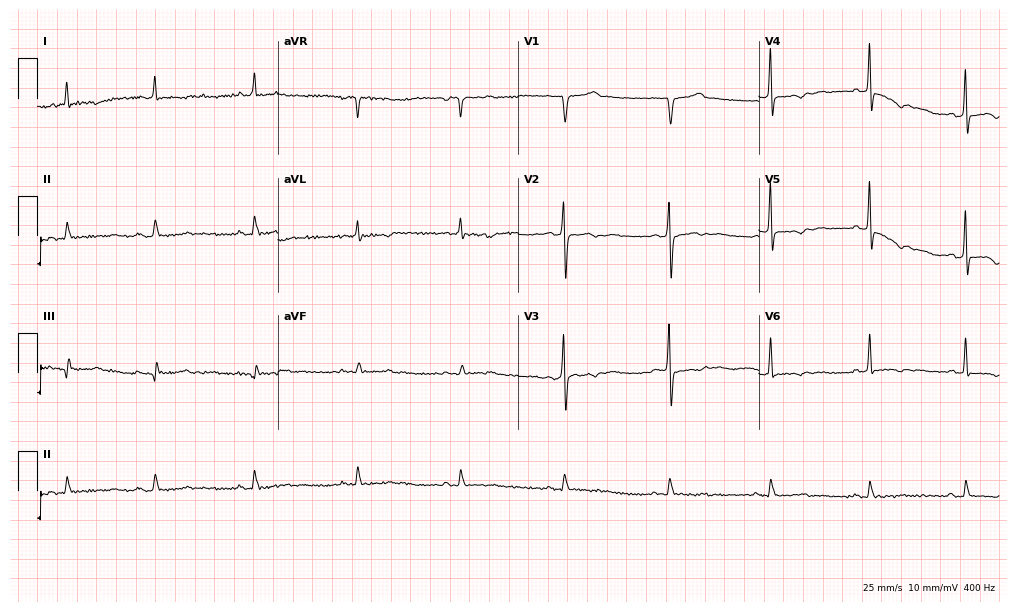
ECG — a 69-year-old male patient. Screened for six findings — first-degree AV block, right bundle branch block, left bundle branch block, sinus bradycardia, atrial fibrillation, sinus tachycardia — none is recorded. Other findings, if any, are not listed.